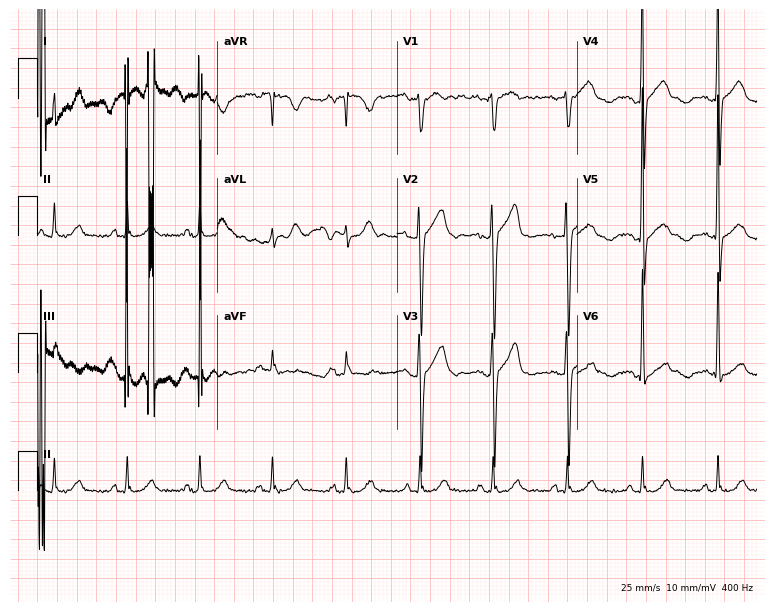
12-lead ECG from a 74-year-old male (7.3-second recording at 400 Hz). No first-degree AV block, right bundle branch block (RBBB), left bundle branch block (LBBB), sinus bradycardia, atrial fibrillation (AF) or sinus tachycardia recorded for this tracing. Only these six findings were labelled.